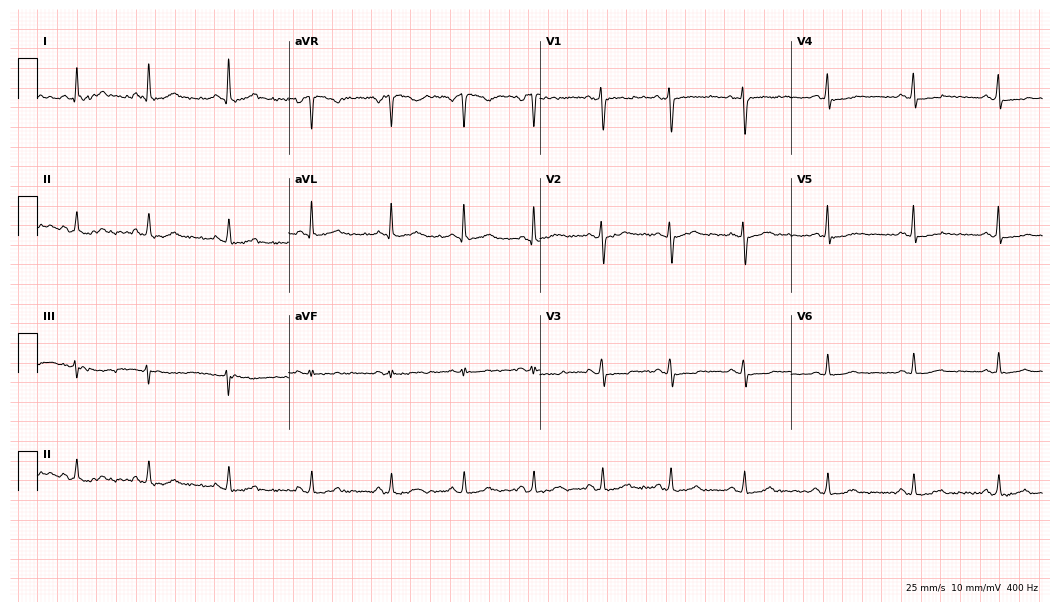
12-lead ECG from a woman, 36 years old. Recorded interpretation: within normal limits.